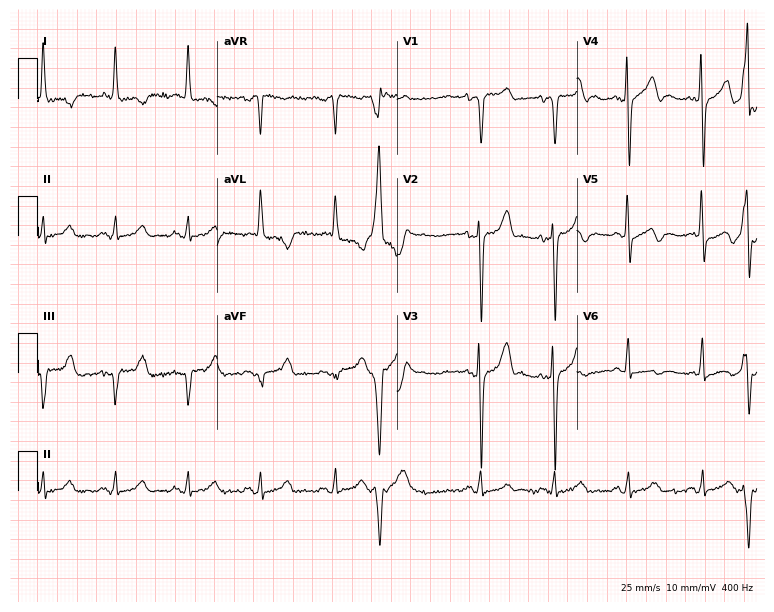
Resting 12-lead electrocardiogram (7.3-second recording at 400 Hz). Patient: a male, 64 years old. None of these six findings is recorded: first-degree AV block, right bundle branch block, left bundle branch block, sinus bradycardia, atrial fibrillation, sinus tachycardia.